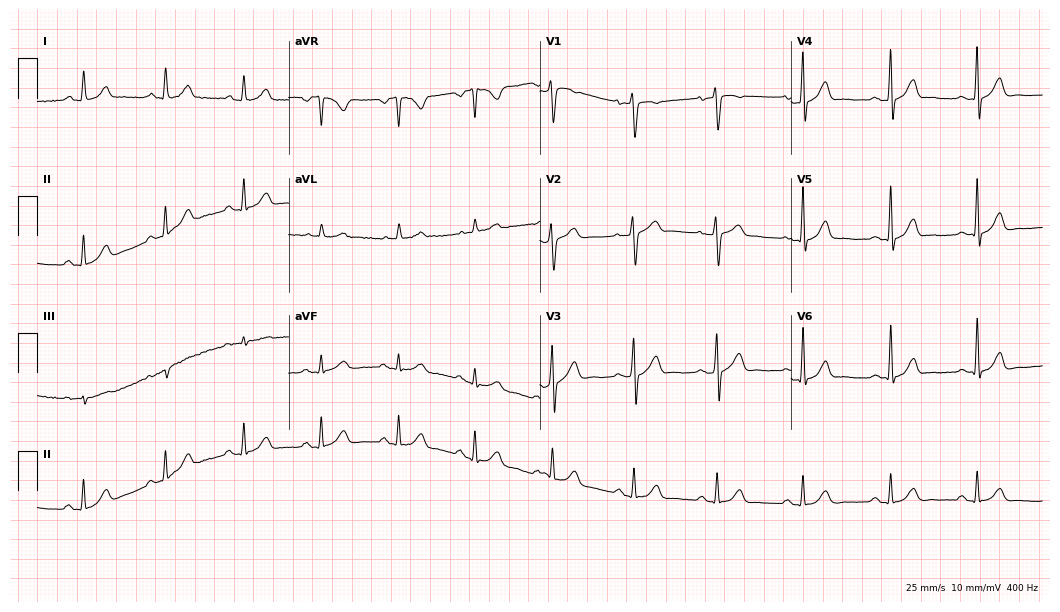
Resting 12-lead electrocardiogram. Patient: a man, 33 years old. Read as a normal ECG.